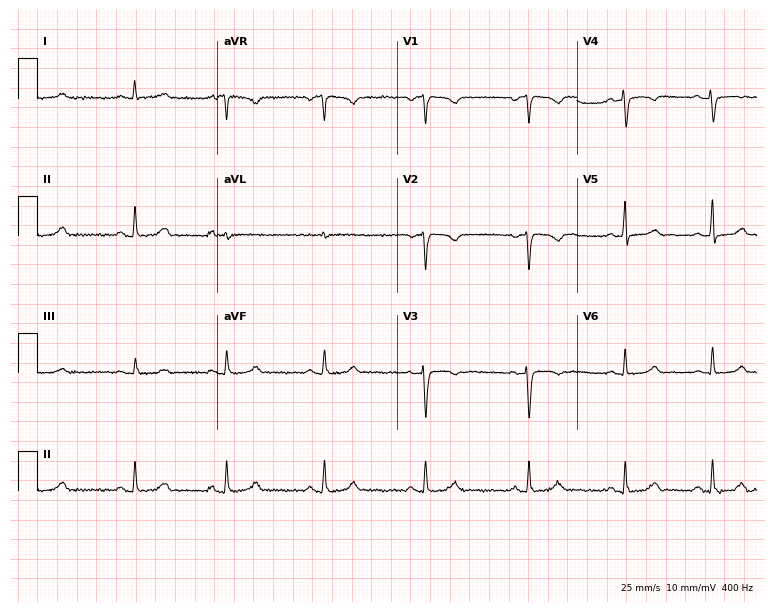
12-lead ECG from a female patient, 39 years old (7.3-second recording at 400 Hz). Recorded interpretation: within normal limits.